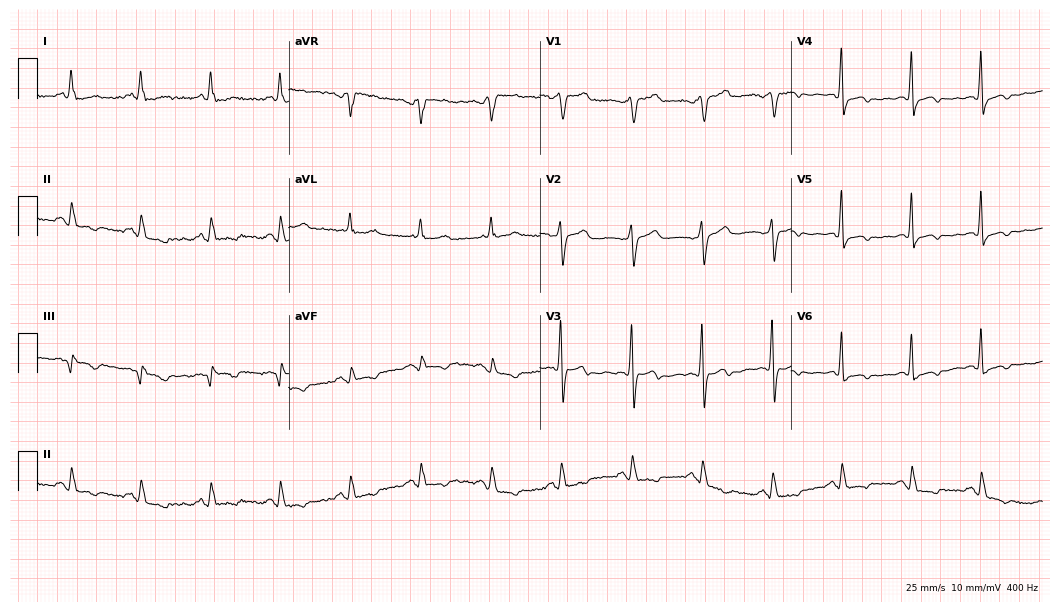
ECG — a 51-year-old female. Screened for six findings — first-degree AV block, right bundle branch block, left bundle branch block, sinus bradycardia, atrial fibrillation, sinus tachycardia — none is recorded. Only these six findings were labelled.